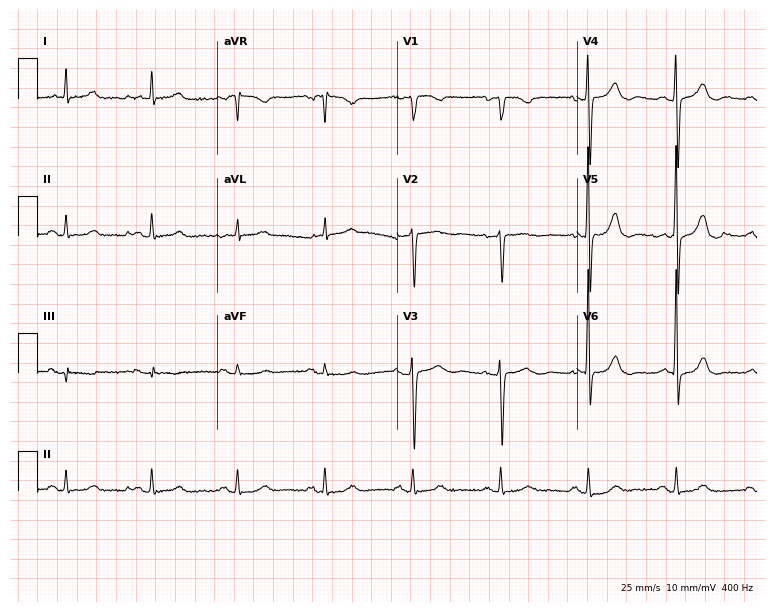
12-lead ECG from a female, 85 years old. Labelled as a normal ECG.